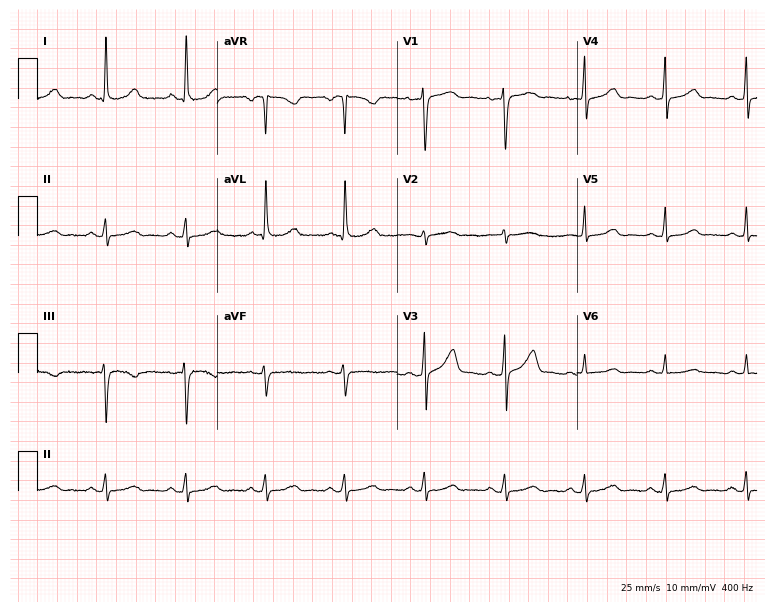
12-lead ECG from a 64-year-old female patient (7.3-second recording at 400 Hz). Recorded interpretation: within normal limits.